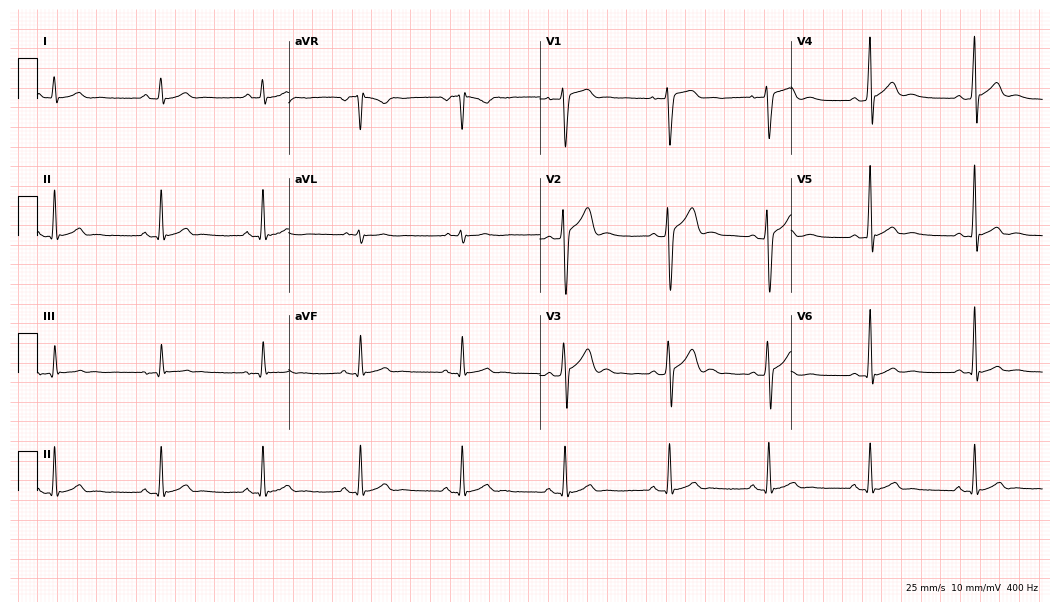
Electrocardiogram (10.2-second recording at 400 Hz), a male patient, 23 years old. Overall reading on record: normal ECG.